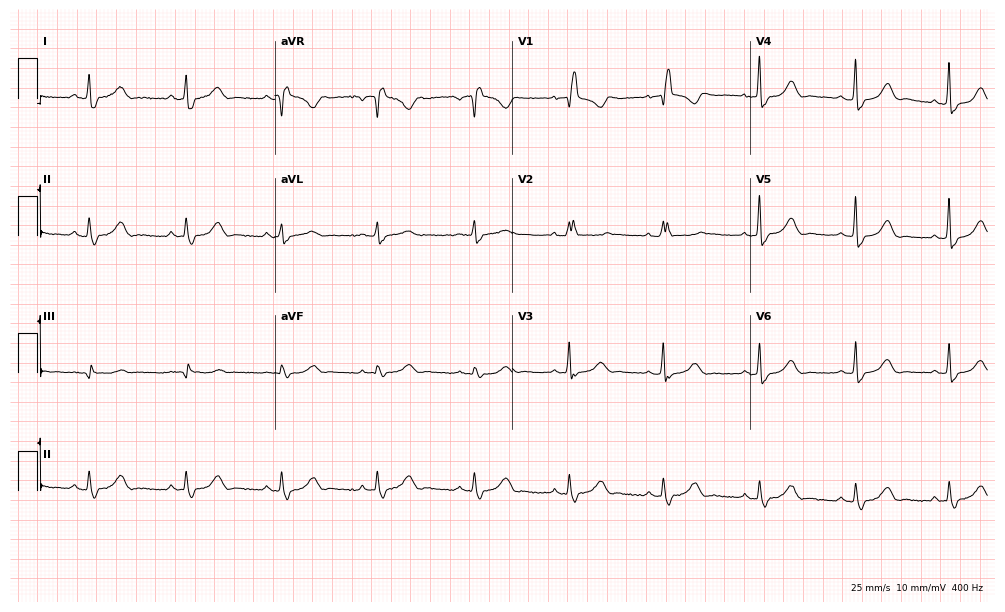
ECG — a 73-year-old female patient. Findings include right bundle branch block.